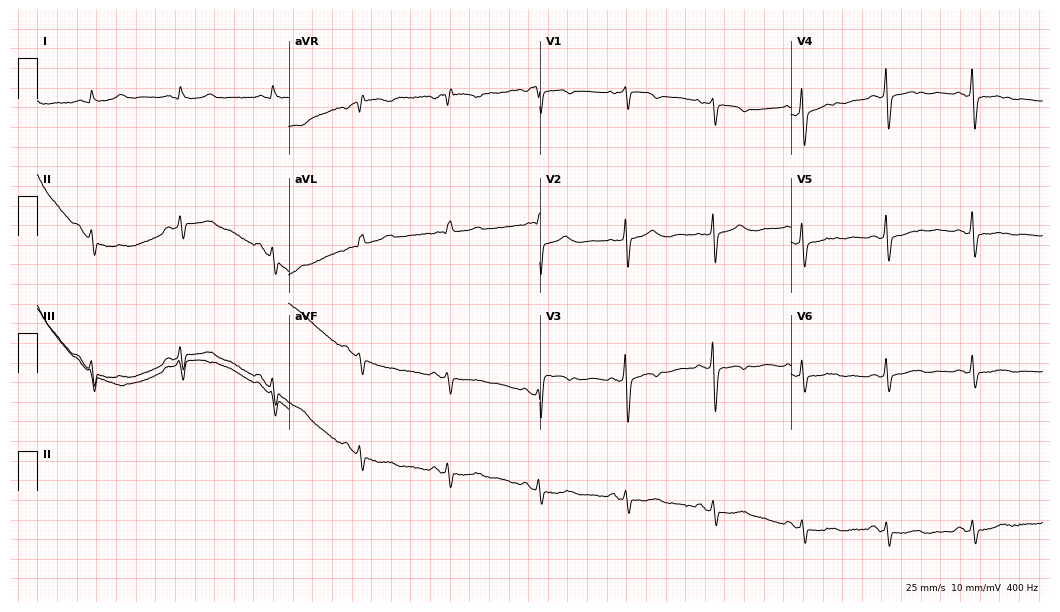
Resting 12-lead electrocardiogram (10.2-second recording at 400 Hz). Patient: a female, 79 years old. None of these six findings is recorded: first-degree AV block, right bundle branch block (RBBB), left bundle branch block (LBBB), sinus bradycardia, atrial fibrillation (AF), sinus tachycardia. Only these six findings were labelled.